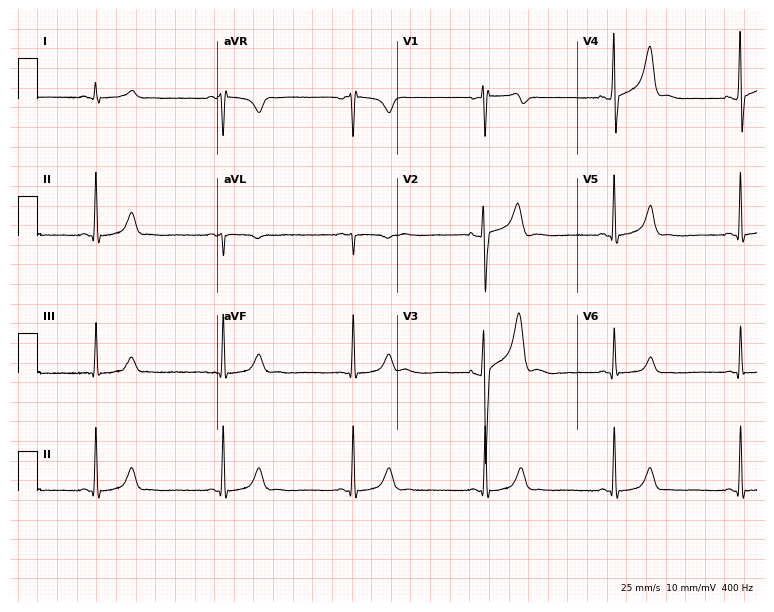
12-lead ECG (7.3-second recording at 400 Hz) from a man, 34 years old. Findings include sinus bradycardia (a sinus rate of 50 beats per minute or less).